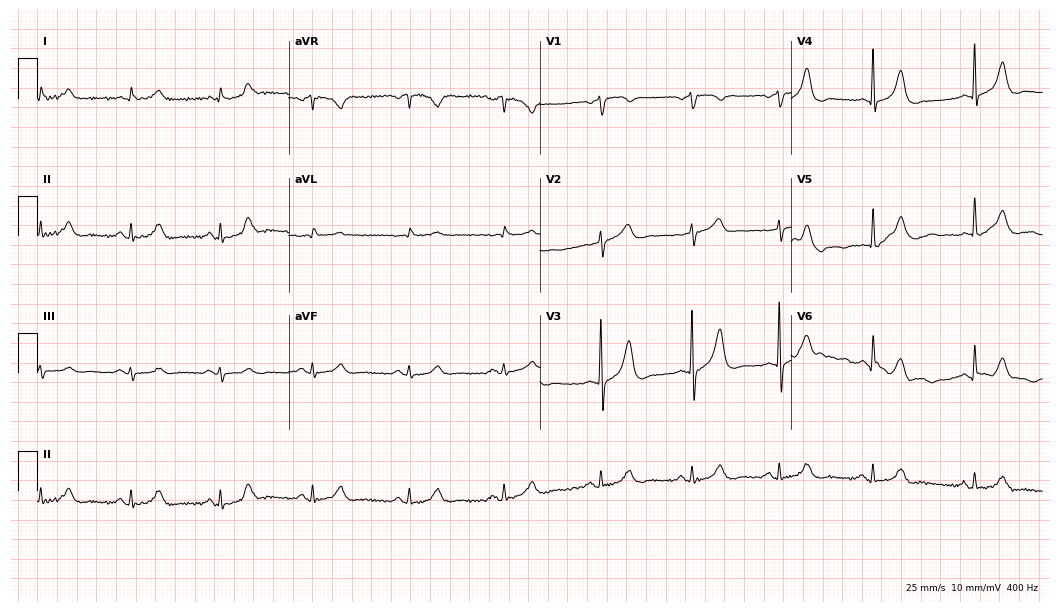
12-lead ECG from a 76-year-old male patient (10.2-second recording at 400 Hz). No first-degree AV block, right bundle branch block (RBBB), left bundle branch block (LBBB), sinus bradycardia, atrial fibrillation (AF) or sinus tachycardia recorded for this tracing.